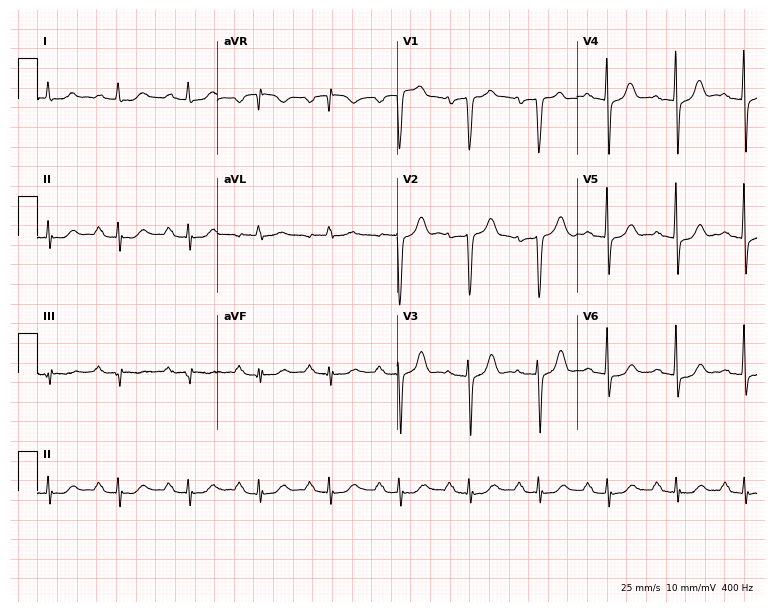
Electrocardiogram, a male patient, 79 years old. Of the six screened findings (first-degree AV block, right bundle branch block, left bundle branch block, sinus bradycardia, atrial fibrillation, sinus tachycardia), none is recorded. Findings outside these six are not listed.